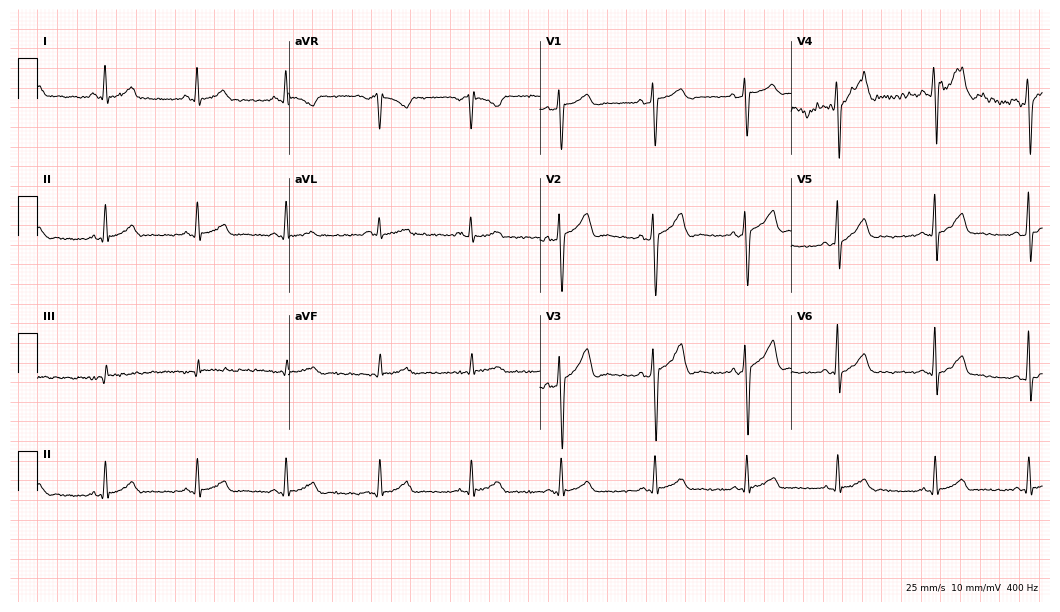
12-lead ECG from a man, 21 years old (10.2-second recording at 400 Hz). Recorded interpretation: within normal limits.